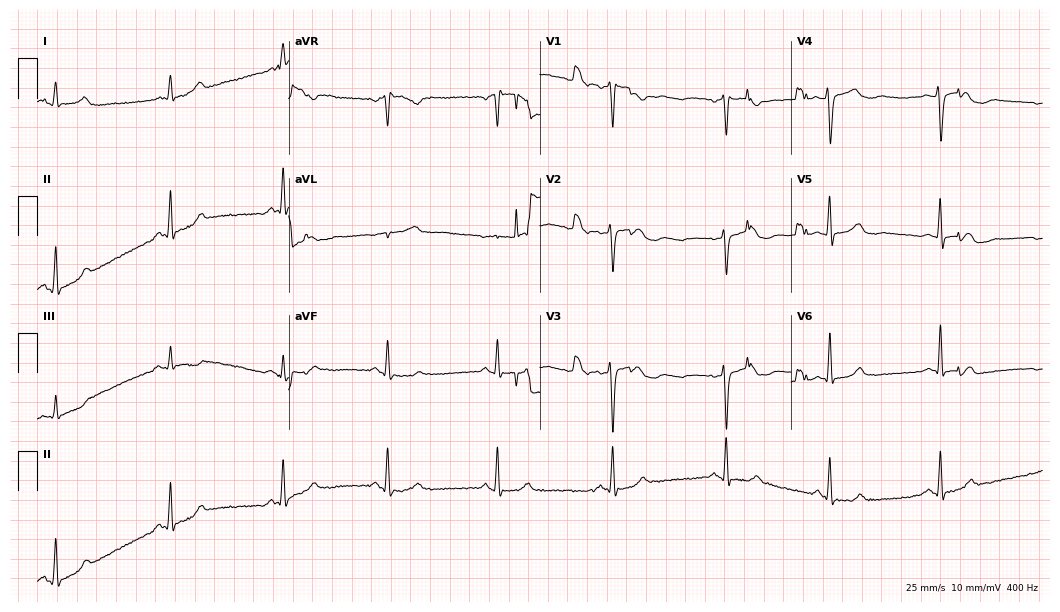
12-lead ECG from a woman, 40 years old. Screened for six findings — first-degree AV block, right bundle branch block, left bundle branch block, sinus bradycardia, atrial fibrillation, sinus tachycardia — none is recorded. Only these six findings were labelled.